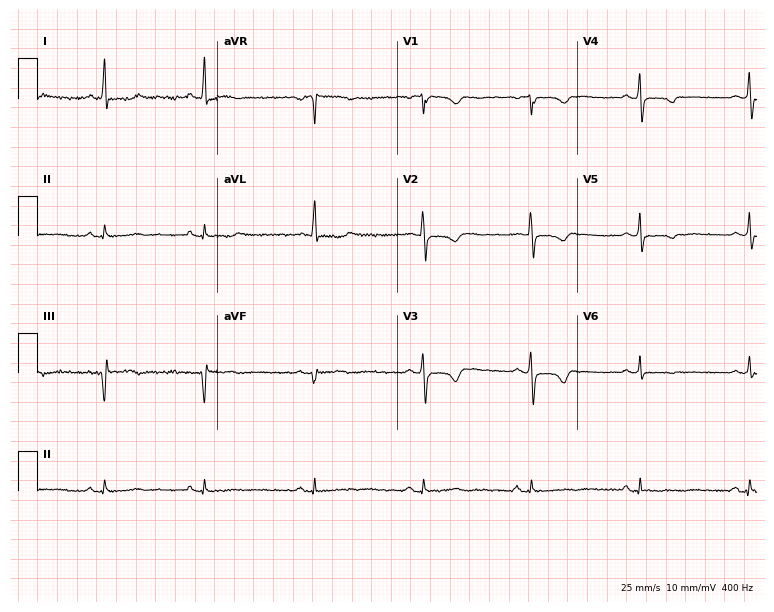
ECG (7.3-second recording at 400 Hz) — a female, 65 years old. Screened for six findings — first-degree AV block, right bundle branch block (RBBB), left bundle branch block (LBBB), sinus bradycardia, atrial fibrillation (AF), sinus tachycardia — none is recorded. Other findings, if any, are not listed.